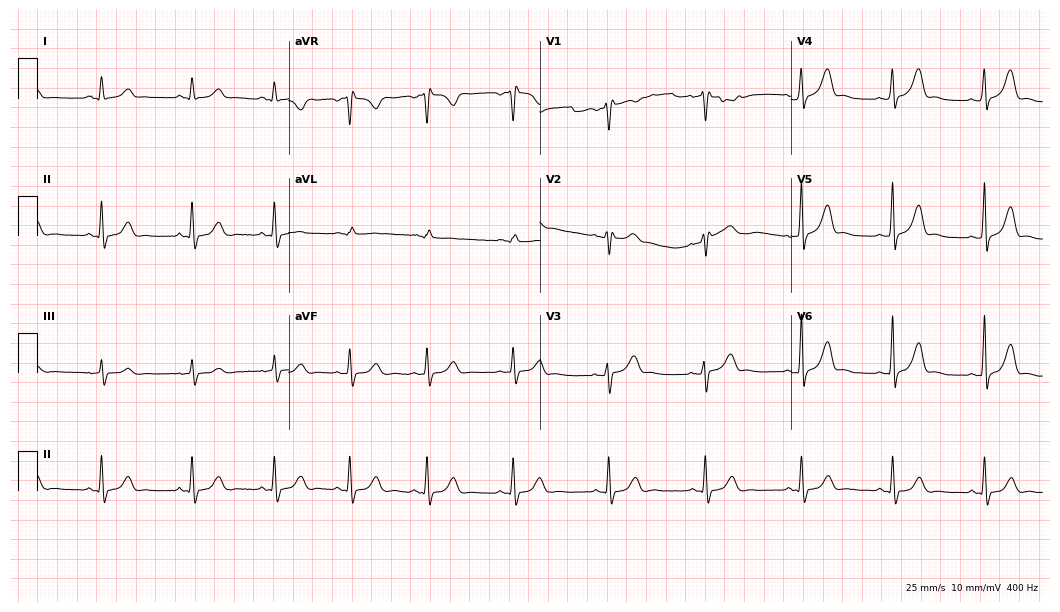
ECG (10.2-second recording at 400 Hz) — a 29-year-old male patient. Screened for six findings — first-degree AV block, right bundle branch block (RBBB), left bundle branch block (LBBB), sinus bradycardia, atrial fibrillation (AF), sinus tachycardia — none is recorded.